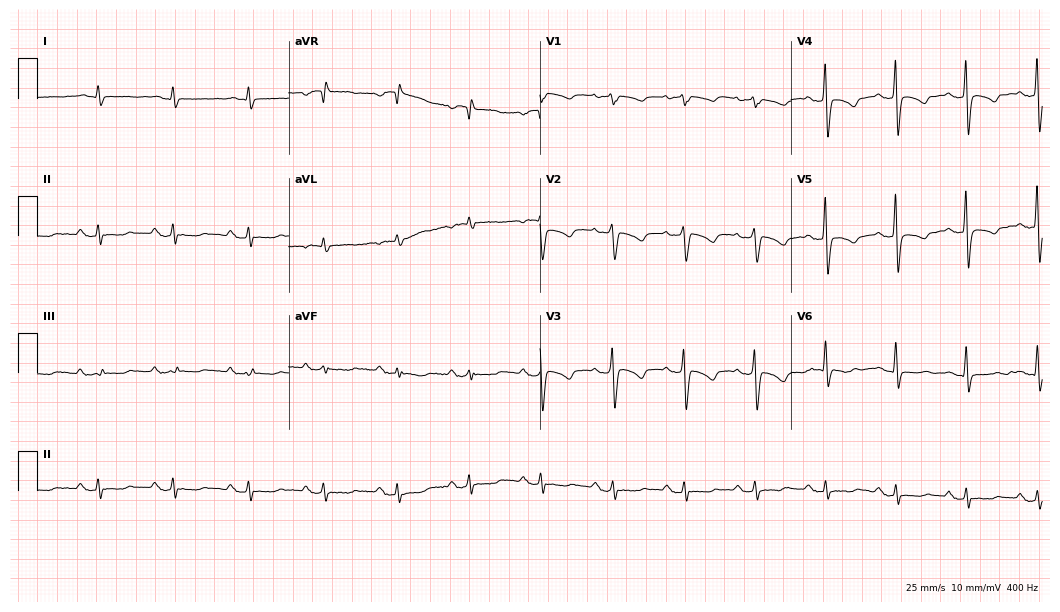
12-lead ECG from an 80-year-old male. No first-degree AV block, right bundle branch block, left bundle branch block, sinus bradycardia, atrial fibrillation or sinus tachycardia recorded for this tracing. Findings outside these six are not listed.